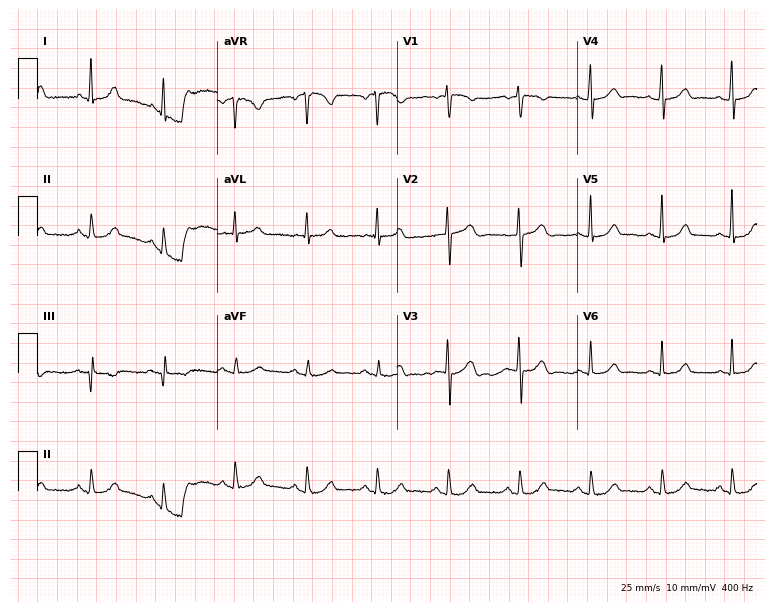
Resting 12-lead electrocardiogram (7.3-second recording at 400 Hz). Patient: a 48-year-old female. Read as a normal ECG.